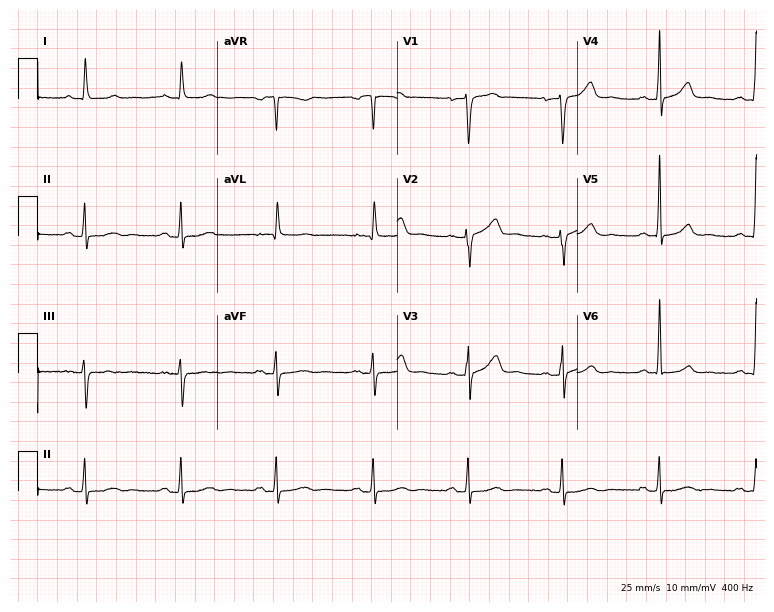
Electrocardiogram (7.3-second recording at 400 Hz), a female, 69 years old. Of the six screened findings (first-degree AV block, right bundle branch block (RBBB), left bundle branch block (LBBB), sinus bradycardia, atrial fibrillation (AF), sinus tachycardia), none is recorded.